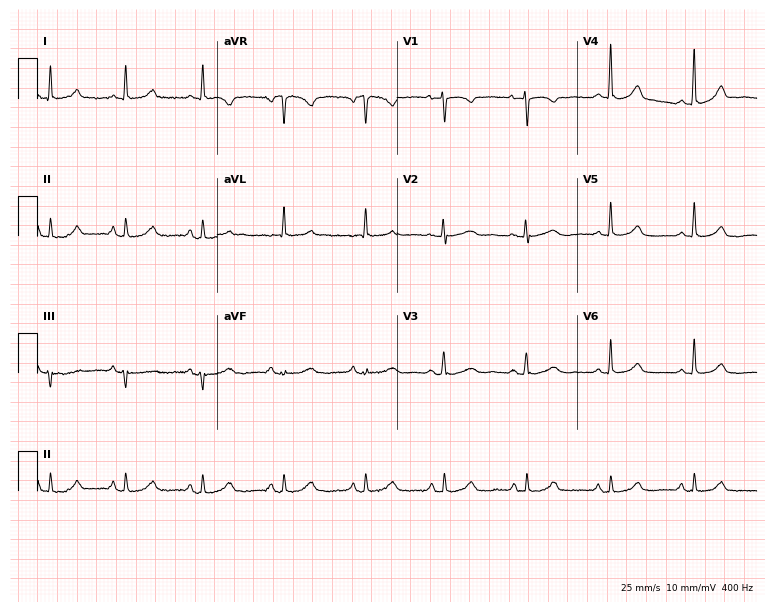
Resting 12-lead electrocardiogram. Patient: a 54-year-old woman. Read as a normal ECG.